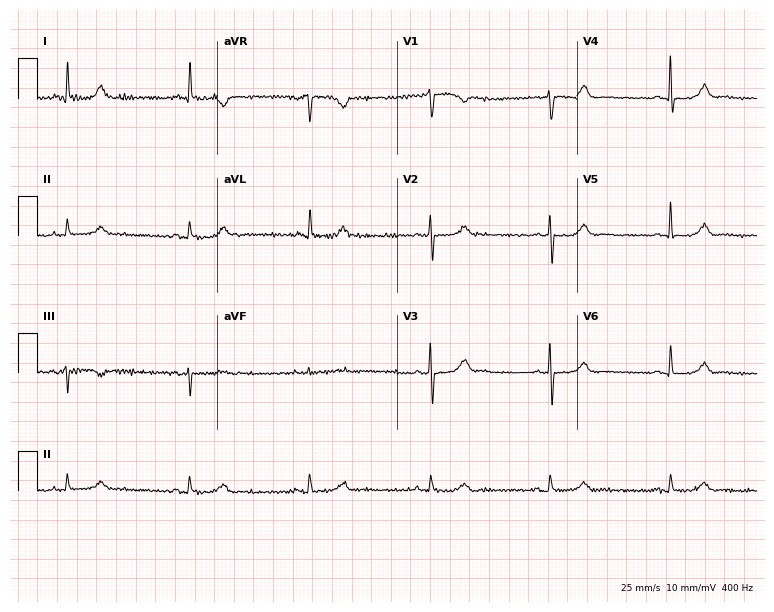
ECG — an 80-year-old female. Screened for six findings — first-degree AV block, right bundle branch block, left bundle branch block, sinus bradycardia, atrial fibrillation, sinus tachycardia — none is recorded.